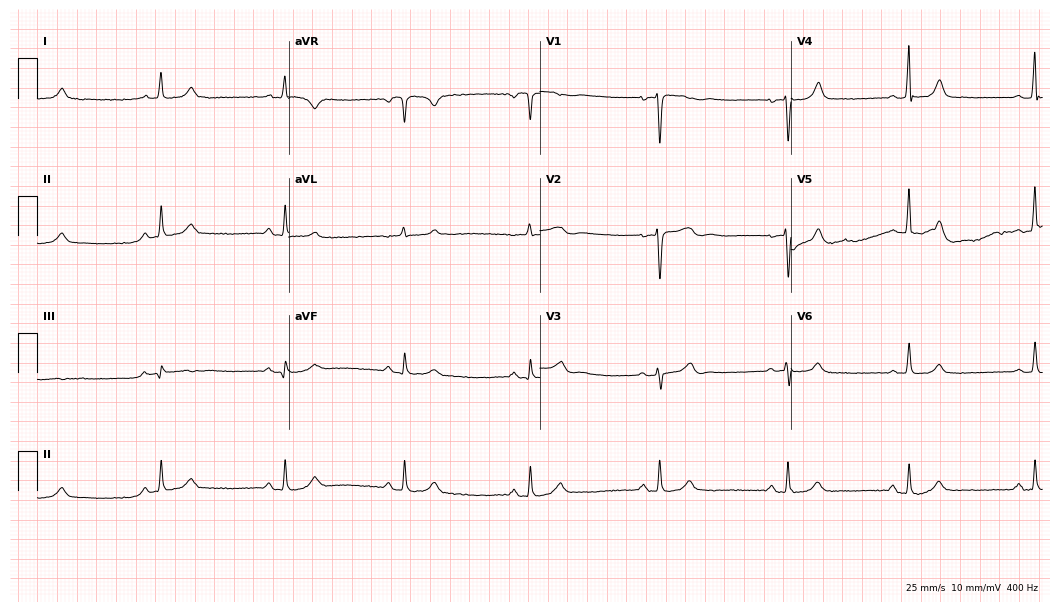
Electrocardiogram, a 57-year-old woman. Interpretation includes sinus bradycardia (a sinus rate of 50 beats per minute or less).